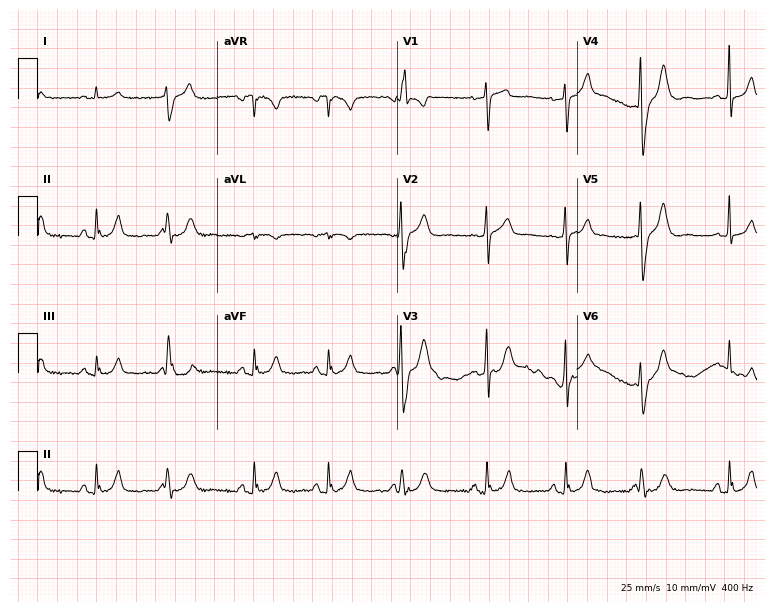
12-lead ECG from a man, 73 years old (7.3-second recording at 400 Hz). Recorded interpretation: within normal limits.